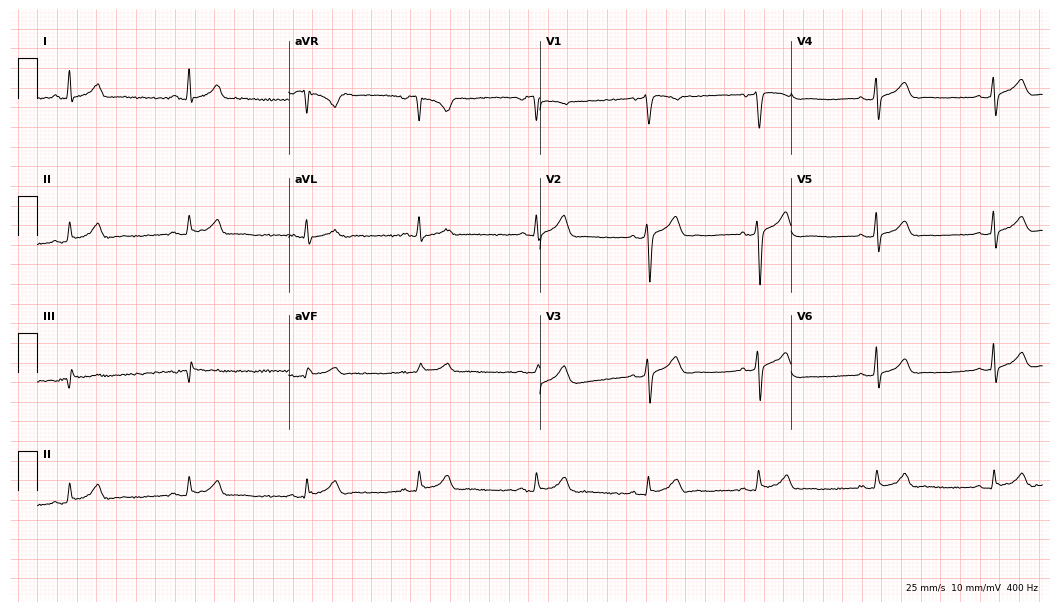
Resting 12-lead electrocardiogram (10.2-second recording at 400 Hz). Patient: a 40-year-old man. Read as a normal ECG.